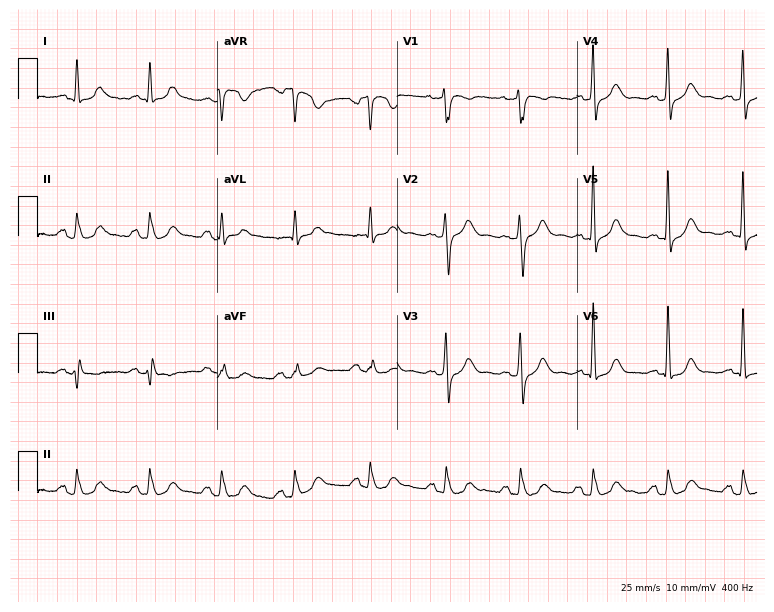
Electrocardiogram, a man, 62 years old. Of the six screened findings (first-degree AV block, right bundle branch block, left bundle branch block, sinus bradycardia, atrial fibrillation, sinus tachycardia), none is recorded.